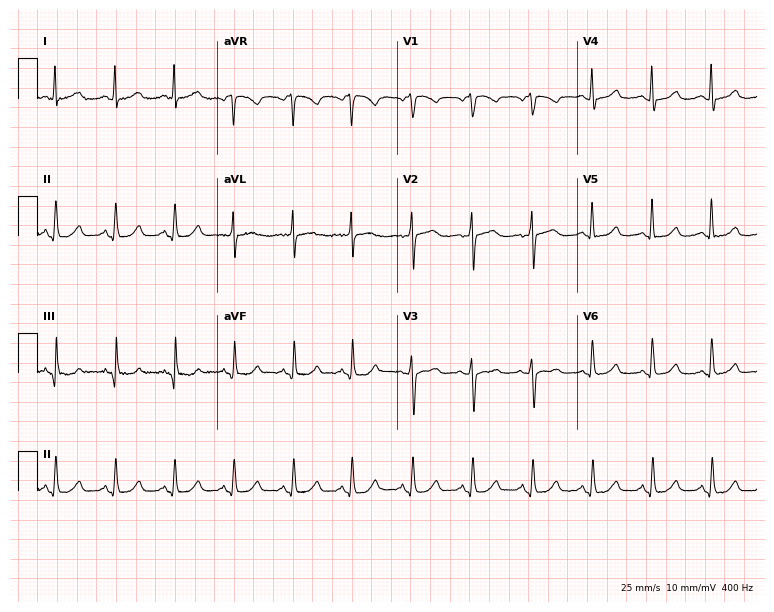
Resting 12-lead electrocardiogram (7.3-second recording at 400 Hz). Patient: a female, 55 years old. Read as a normal ECG.